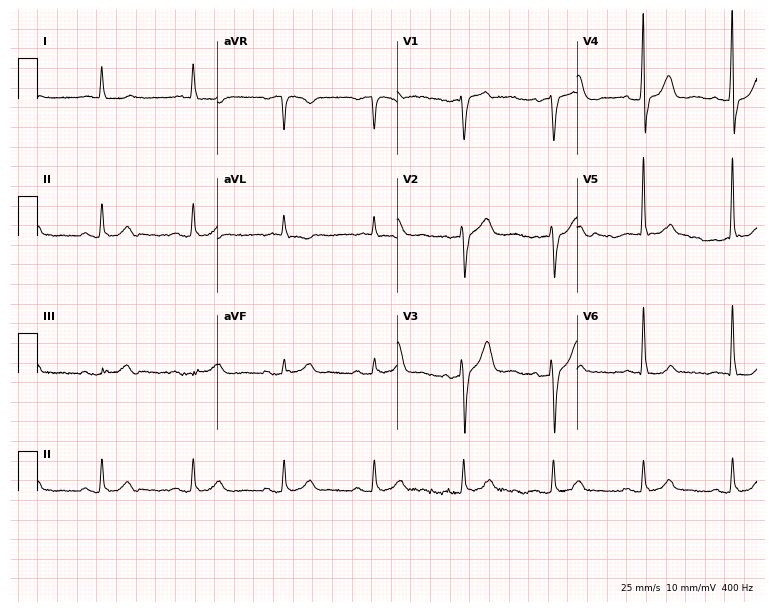
Resting 12-lead electrocardiogram. Patient: an 83-year-old male. None of these six findings is recorded: first-degree AV block, right bundle branch block, left bundle branch block, sinus bradycardia, atrial fibrillation, sinus tachycardia. Other findings, if any, are not listed.